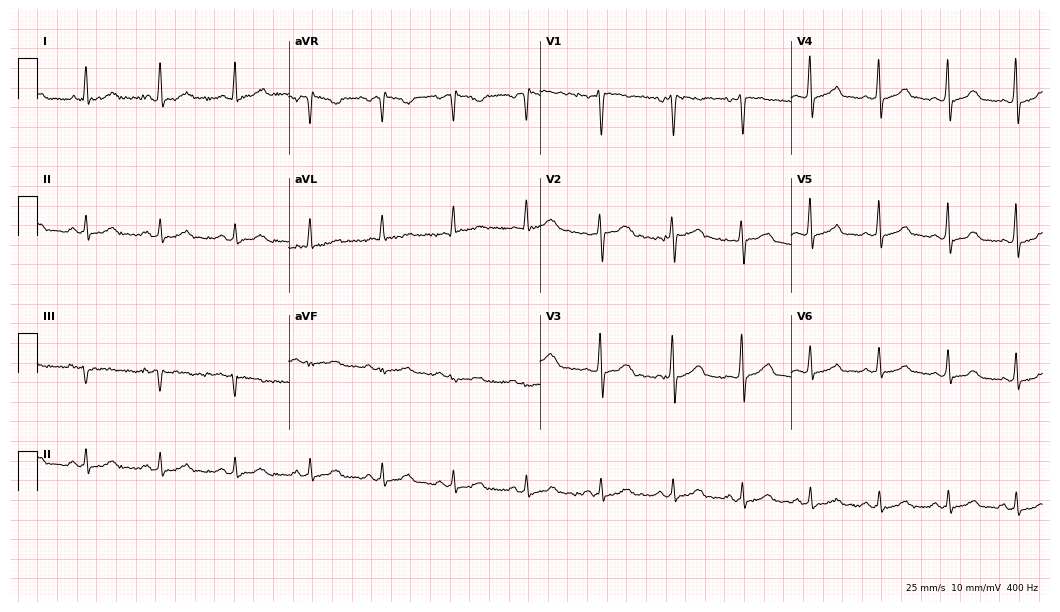
Resting 12-lead electrocardiogram. Patient: a woman, 42 years old. Read as a normal ECG.